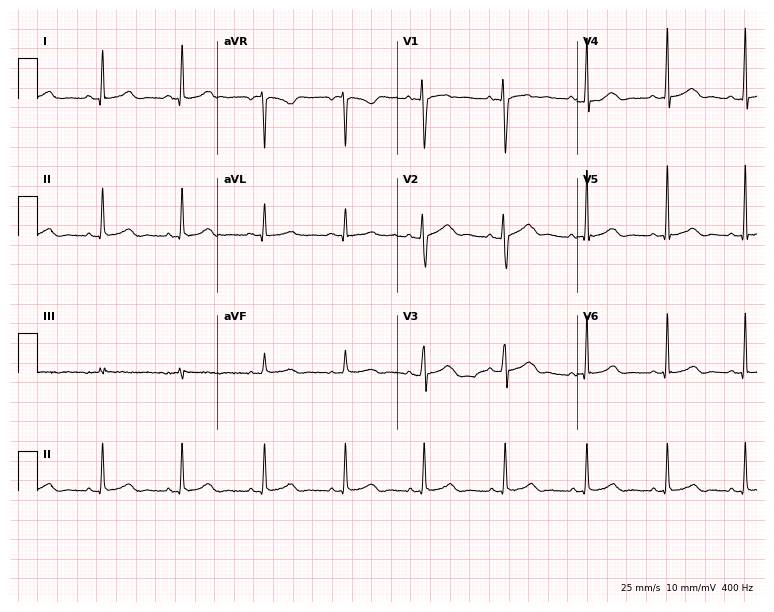
Resting 12-lead electrocardiogram. Patient: a 36-year-old male. None of these six findings is recorded: first-degree AV block, right bundle branch block (RBBB), left bundle branch block (LBBB), sinus bradycardia, atrial fibrillation (AF), sinus tachycardia.